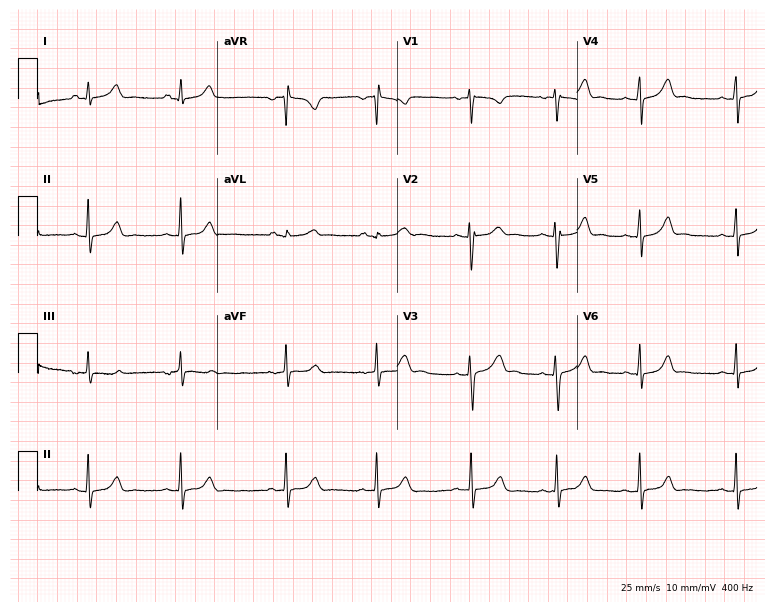
Resting 12-lead electrocardiogram. Patient: a 17-year-old female. Read as a normal ECG.